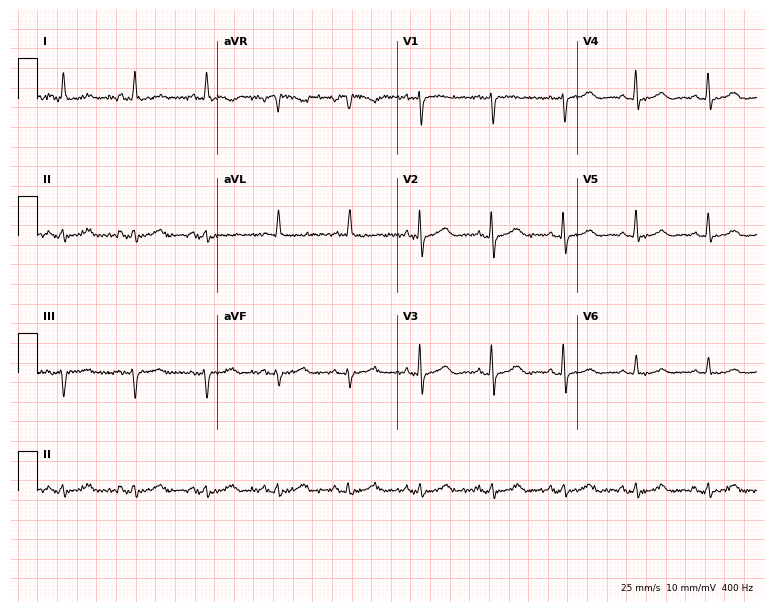
Electrocardiogram (7.3-second recording at 400 Hz), a 67-year-old female. Overall reading on record: normal ECG.